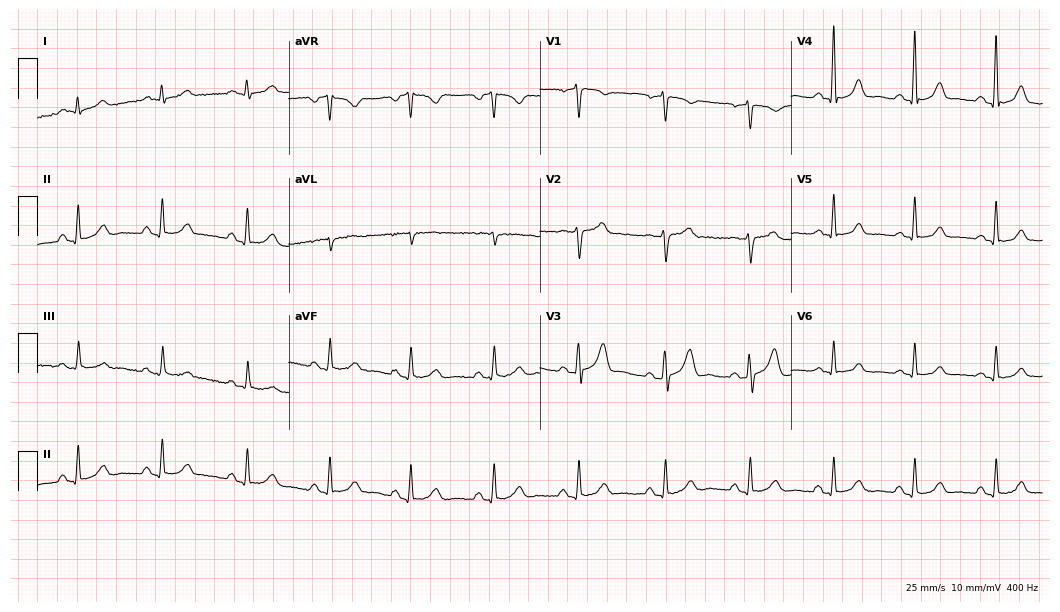
Standard 12-lead ECG recorded from a 55-year-old male (10.2-second recording at 400 Hz). None of these six findings is recorded: first-degree AV block, right bundle branch block, left bundle branch block, sinus bradycardia, atrial fibrillation, sinus tachycardia.